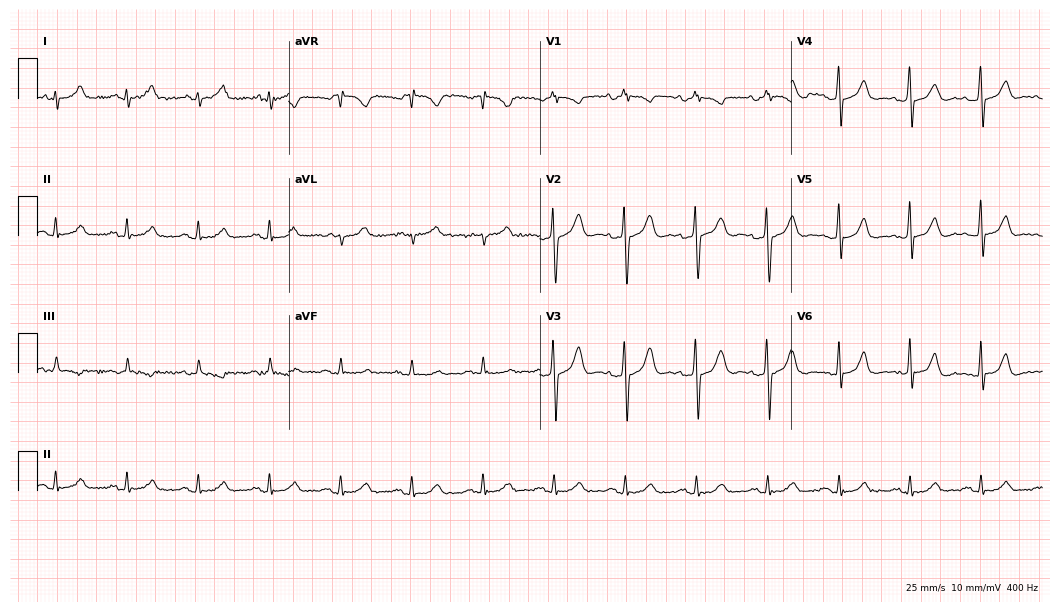
Resting 12-lead electrocardiogram (10.2-second recording at 400 Hz). Patient: a 77-year-old male. Read as a normal ECG.